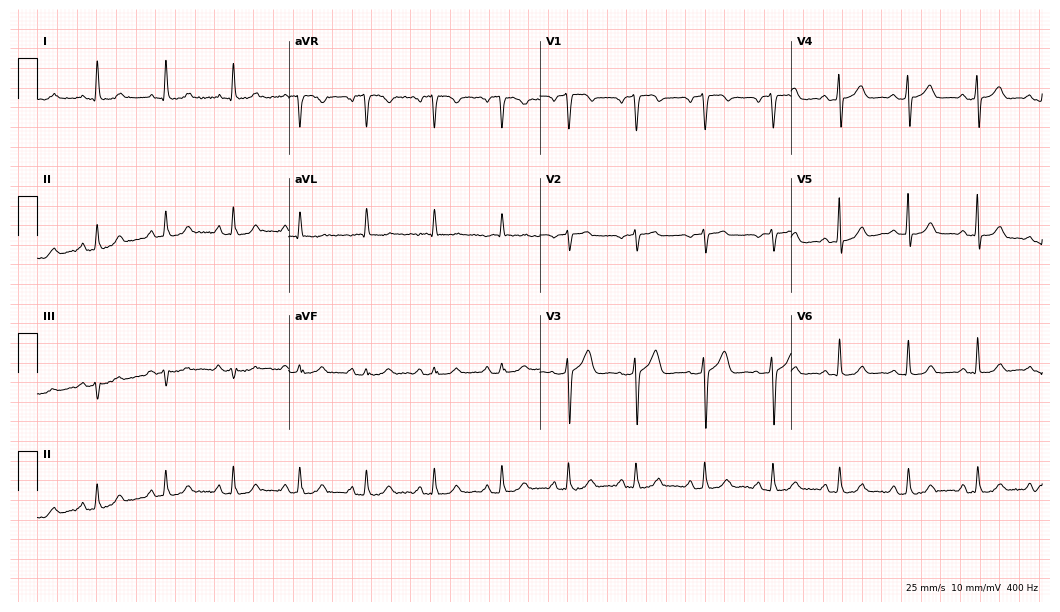
Resting 12-lead electrocardiogram. Patient: a 71-year-old female. None of these six findings is recorded: first-degree AV block, right bundle branch block, left bundle branch block, sinus bradycardia, atrial fibrillation, sinus tachycardia. Other findings, if any, are not listed.